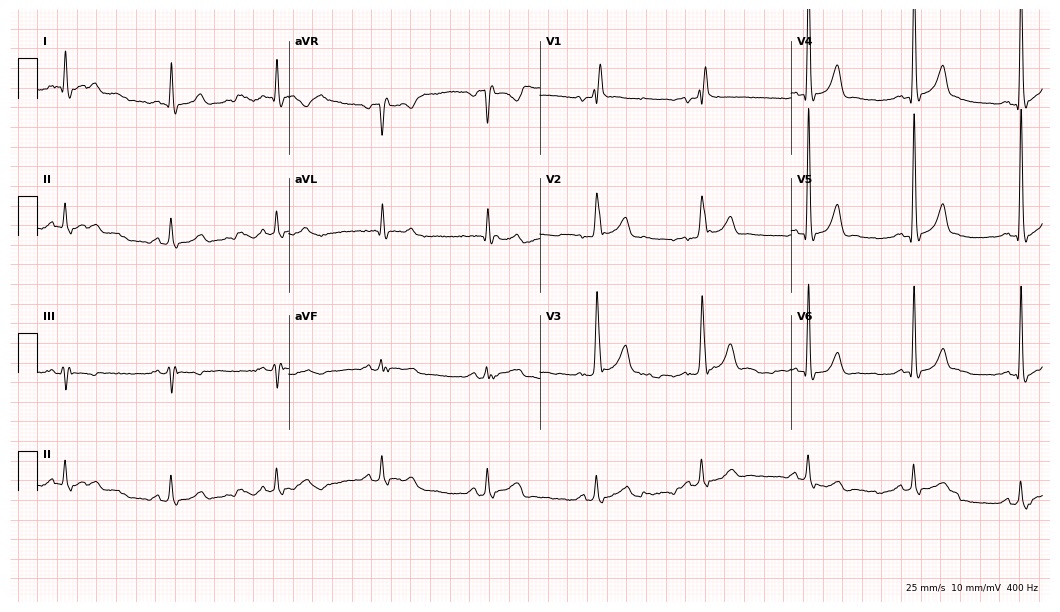
Standard 12-lead ECG recorded from an 84-year-old man. The tracing shows right bundle branch block (RBBB).